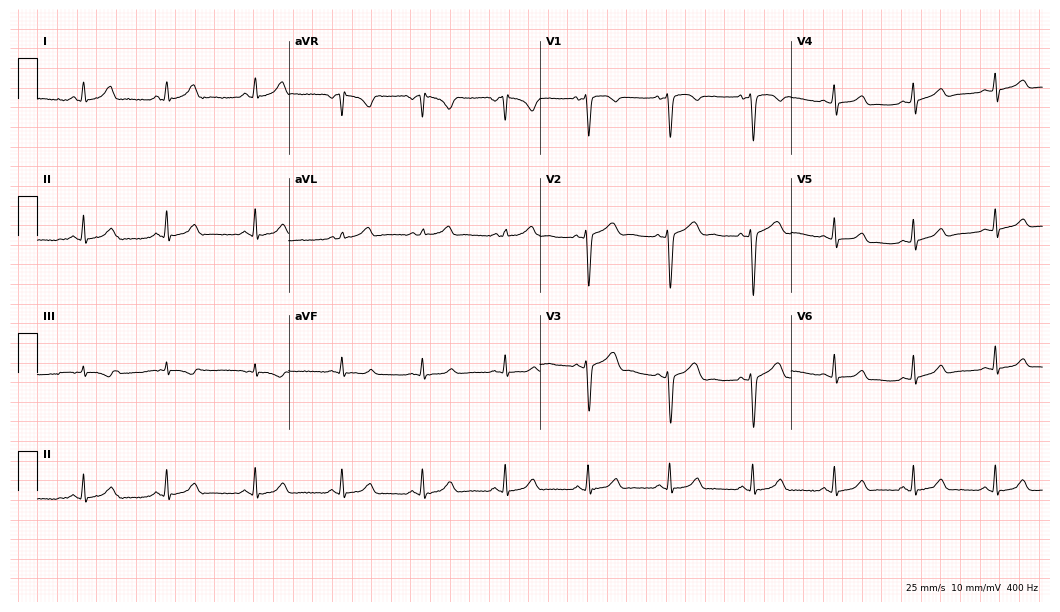
Electrocardiogram, a 34-year-old female. Overall reading on record: normal ECG.